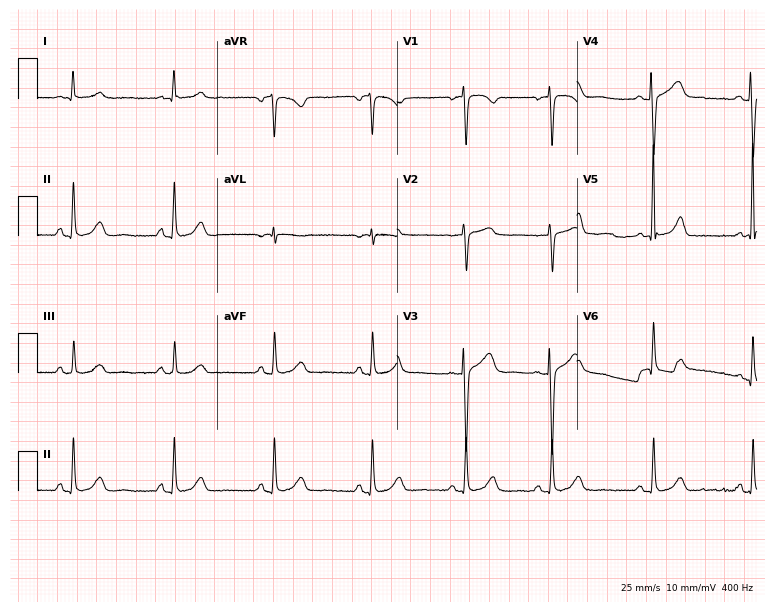
ECG — a woman, 58 years old. Labelled as a normal ECG.